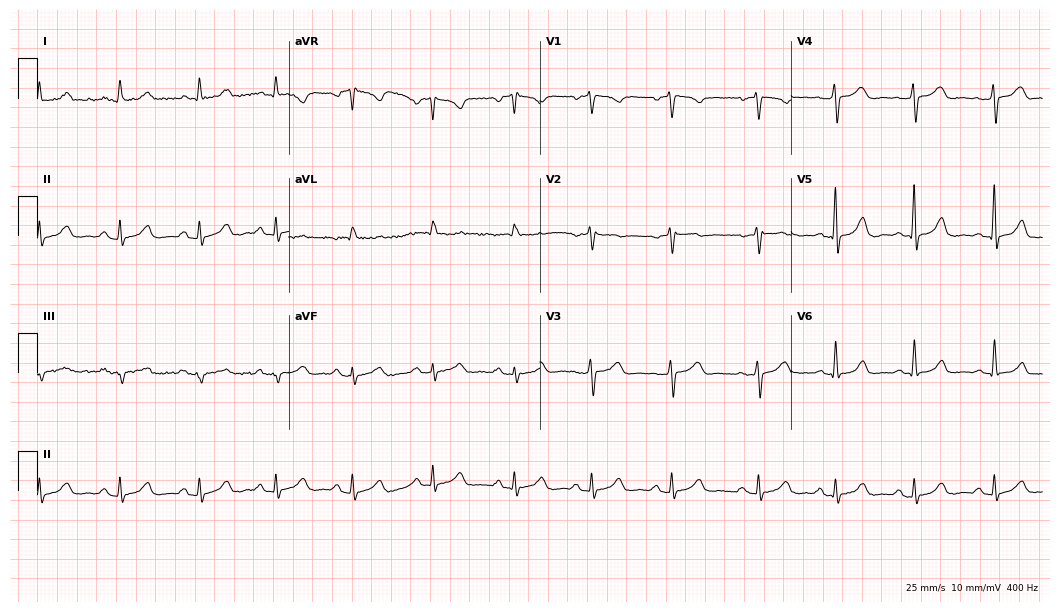
Electrocardiogram (10.2-second recording at 400 Hz), a female patient, 51 years old. Overall reading on record: normal ECG.